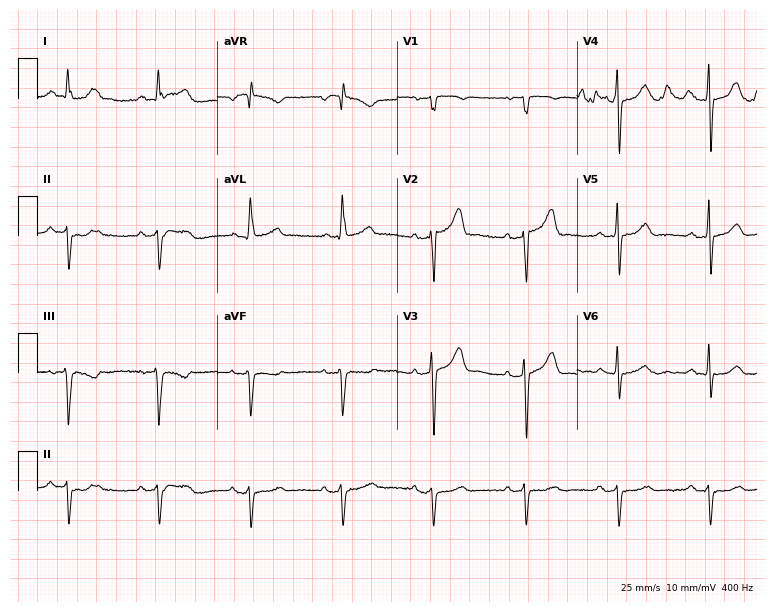
Resting 12-lead electrocardiogram (7.3-second recording at 400 Hz). Patient: an 85-year-old male. None of these six findings is recorded: first-degree AV block, right bundle branch block, left bundle branch block, sinus bradycardia, atrial fibrillation, sinus tachycardia. Other findings, if any, are not listed.